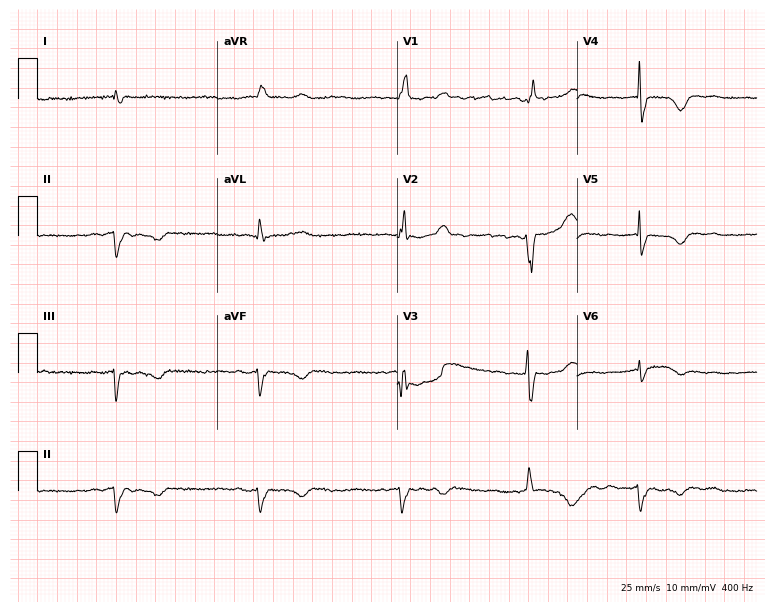
12-lead ECG from a man, 75 years old. No first-degree AV block, right bundle branch block, left bundle branch block, sinus bradycardia, atrial fibrillation or sinus tachycardia recorded for this tracing. Only these six findings were labelled.